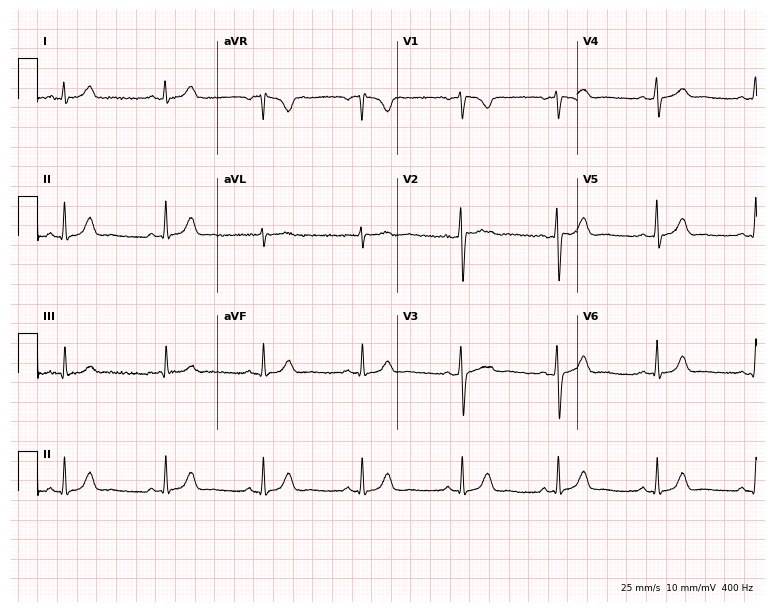
Resting 12-lead electrocardiogram. Patient: a female, 33 years old. None of these six findings is recorded: first-degree AV block, right bundle branch block (RBBB), left bundle branch block (LBBB), sinus bradycardia, atrial fibrillation (AF), sinus tachycardia.